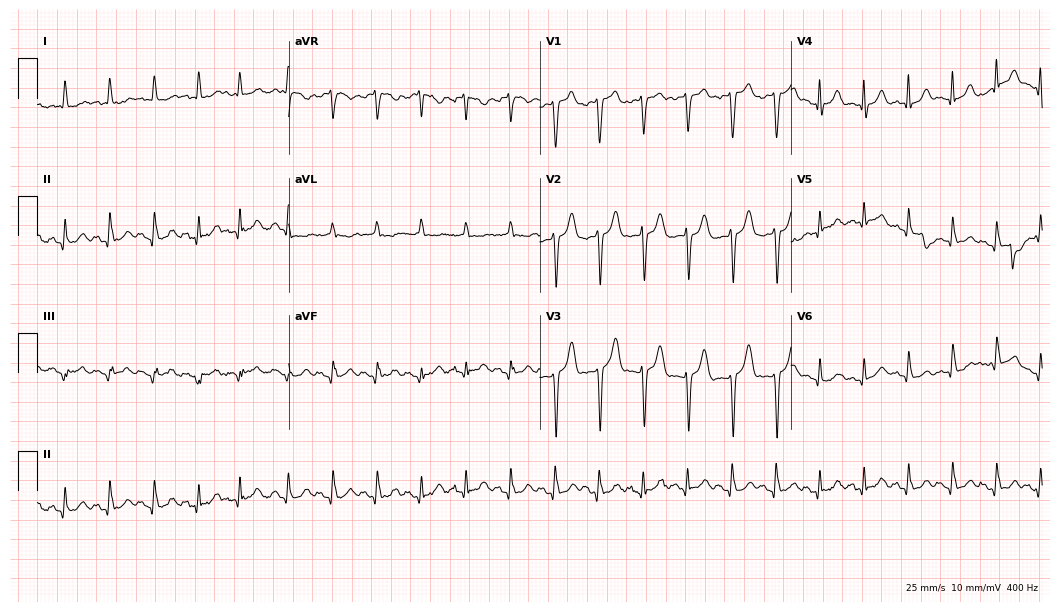
Resting 12-lead electrocardiogram. Patient: a female, 56 years old. The tracing shows sinus tachycardia (a sinus rate of 100 beats per minute or more).